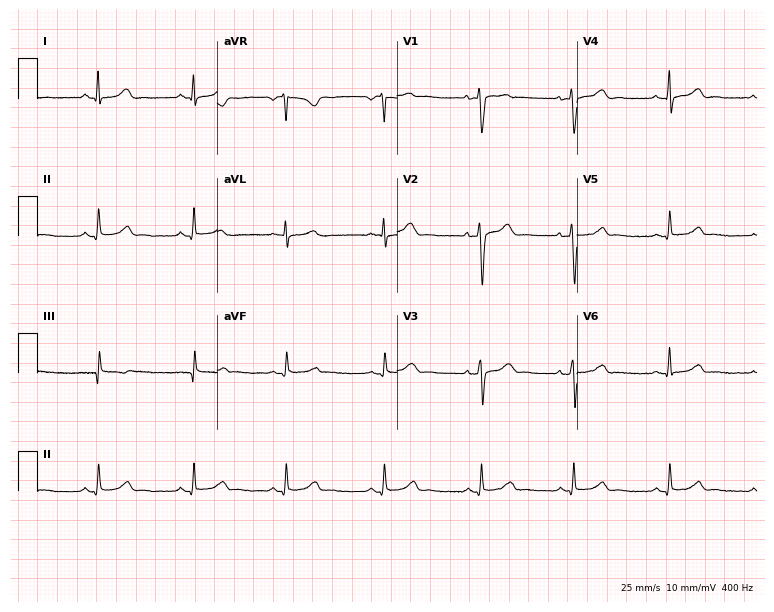
Standard 12-lead ECG recorded from a 36-year-old woman (7.3-second recording at 400 Hz). Read as a normal ECG.